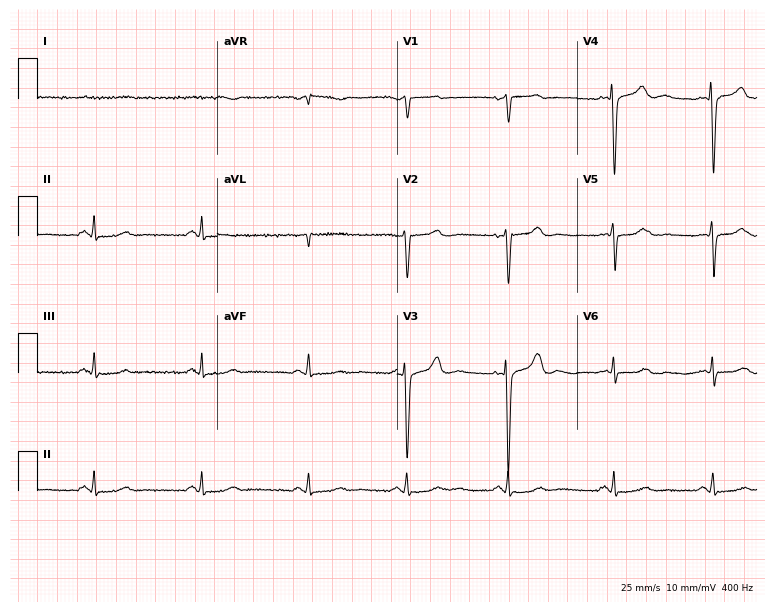
12-lead ECG from a 45-year-old woman. No first-degree AV block, right bundle branch block, left bundle branch block, sinus bradycardia, atrial fibrillation or sinus tachycardia recorded for this tracing. Only these six findings were labelled.